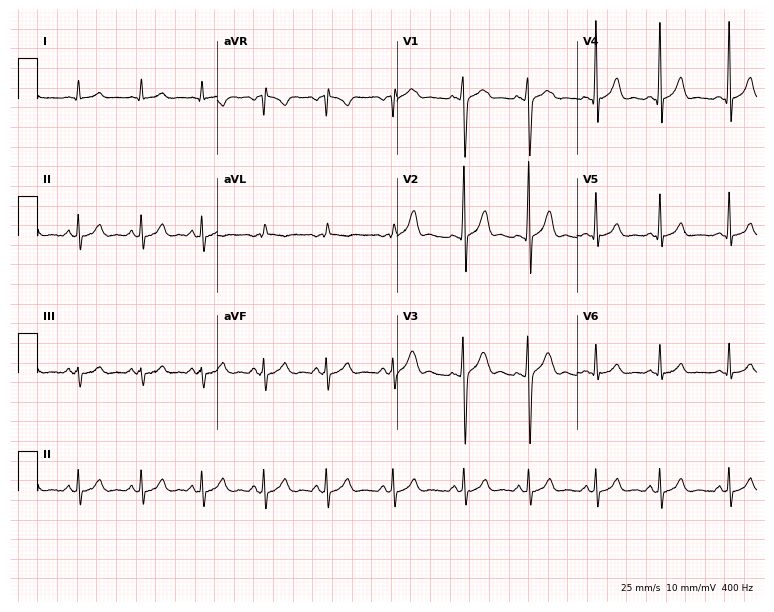
Standard 12-lead ECG recorded from a 22-year-old male (7.3-second recording at 400 Hz). Read as a normal ECG.